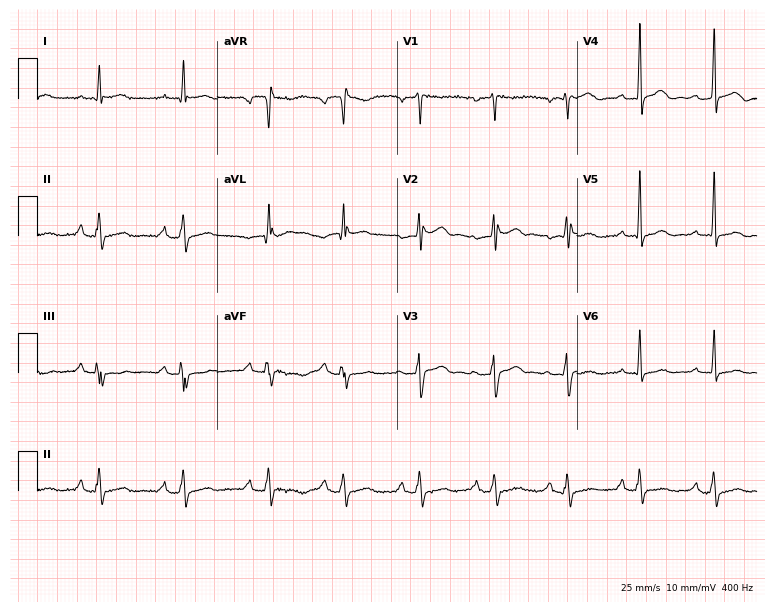
12-lead ECG (7.3-second recording at 400 Hz) from a 35-year-old male. Screened for six findings — first-degree AV block, right bundle branch block, left bundle branch block, sinus bradycardia, atrial fibrillation, sinus tachycardia — none is recorded. Findings outside these six are not listed.